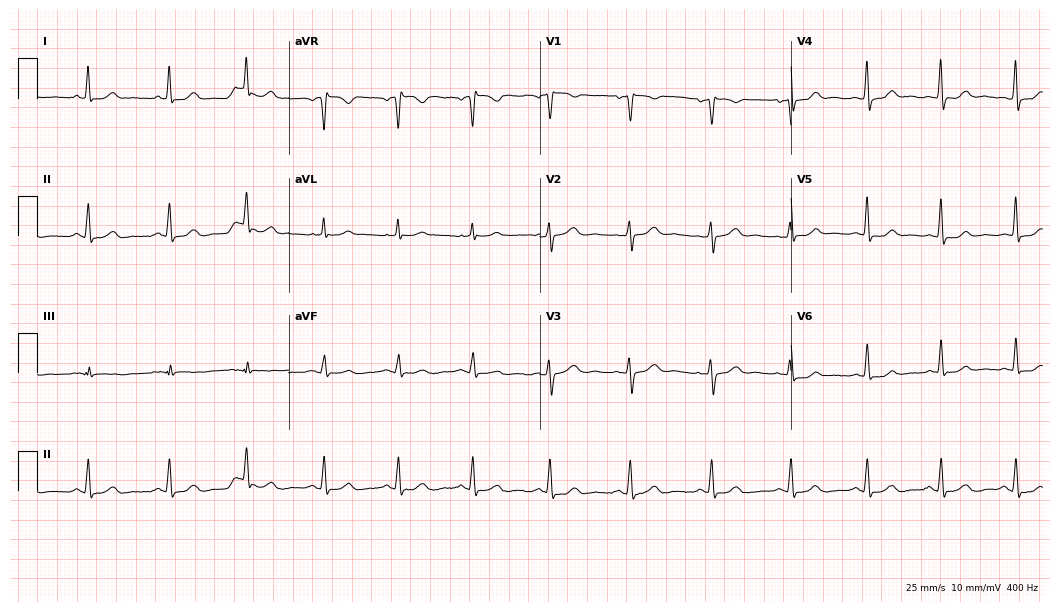
12-lead ECG from a 48-year-old female. Labelled as a normal ECG.